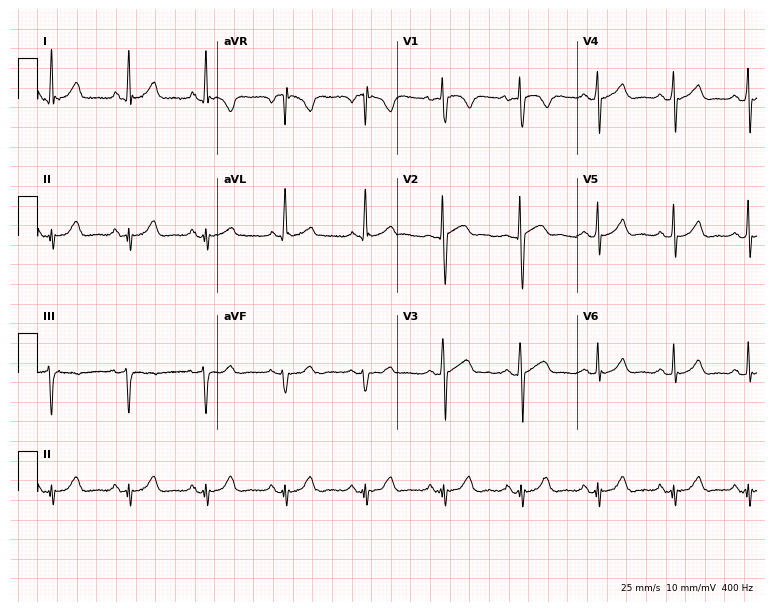
Standard 12-lead ECG recorded from a 32-year-old male (7.3-second recording at 400 Hz). None of these six findings is recorded: first-degree AV block, right bundle branch block, left bundle branch block, sinus bradycardia, atrial fibrillation, sinus tachycardia. Only these six findings were labelled.